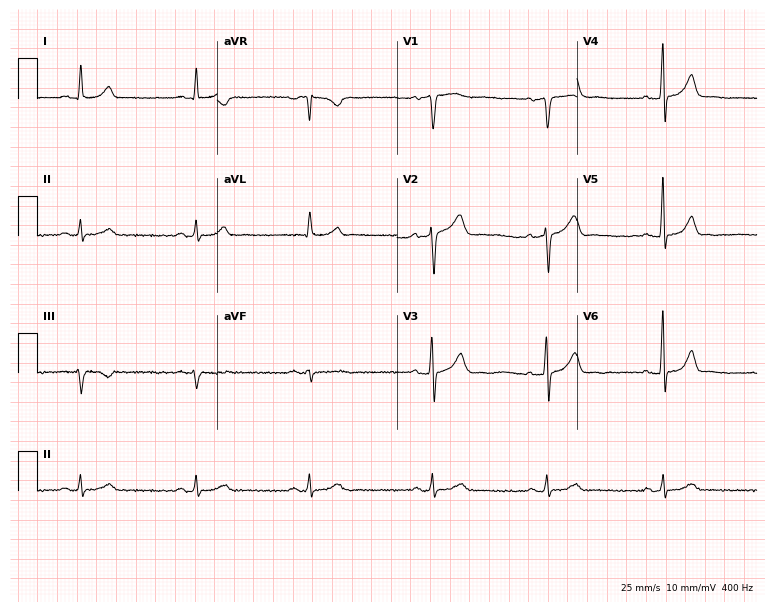
12-lead ECG from a 54-year-old male patient. Findings include sinus bradycardia (a sinus rate of 50 beats per minute or less).